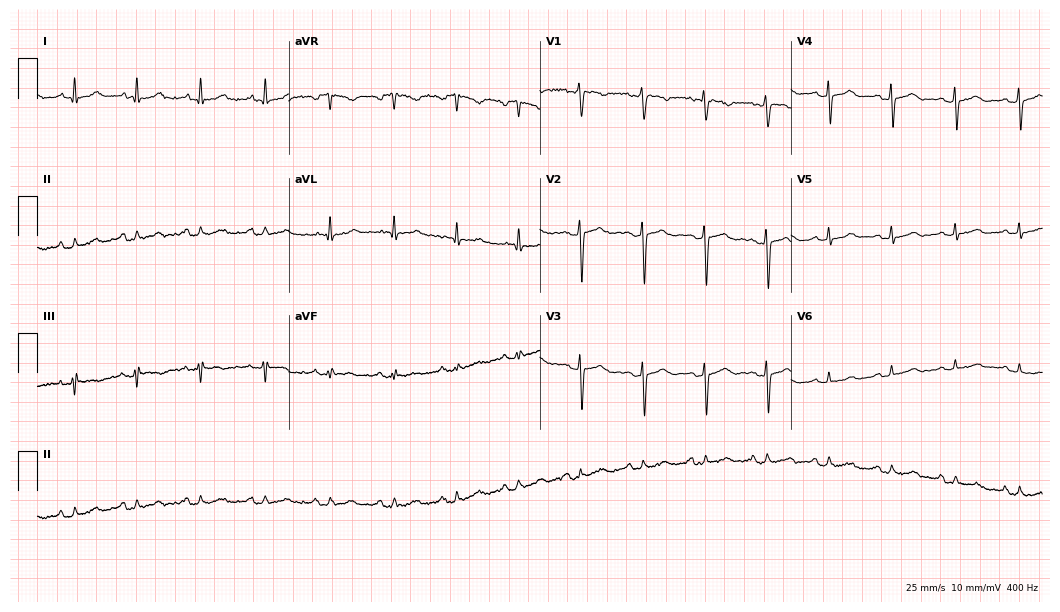
12-lead ECG from a 58-year-old female. Screened for six findings — first-degree AV block, right bundle branch block, left bundle branch block, sinus bradycardia, atrial fibrillation, sinus tachycardia — none is recorded. Other findings, if any, are not listed.